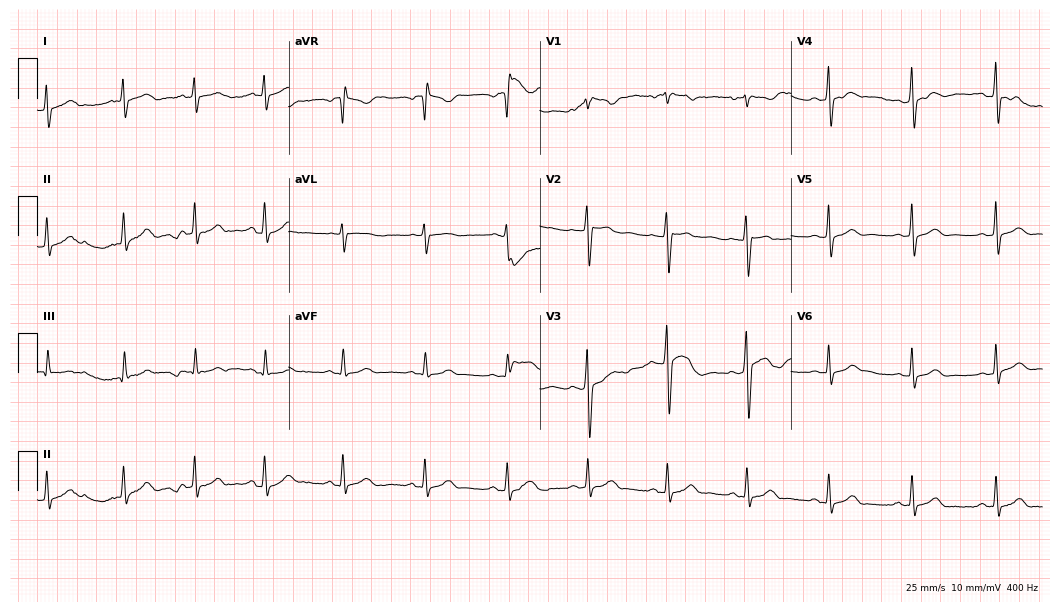
Electrocardiogram, a 32-year-old female patient. Of the six screened findings (first-degree AV block, right bundle branch block, left bundle branch block, sinus bradycardia, atrial fibrillation, sinus tachycardia), none is recorded.